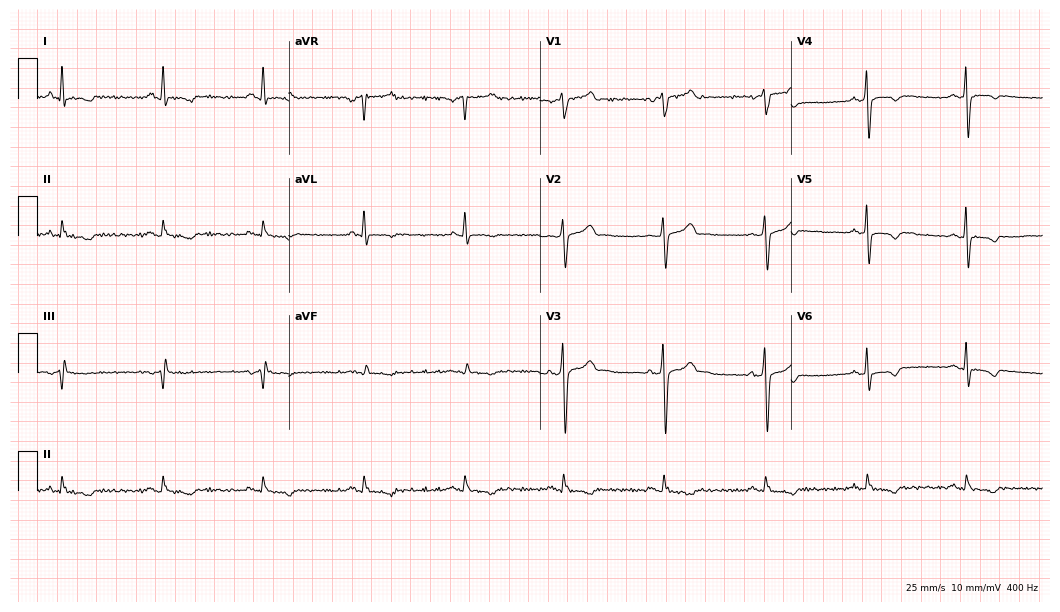
Electrocardiogram (10.2-second recording at 400 Hz), a male, 46 years old. Of the six screened findings (first-degree AV block, right bundle branch block, left bundle branch block, sinus bradycardia, atrial fibrillation, sinus tachycardia), none is recorded. Only these six findings were labelled.